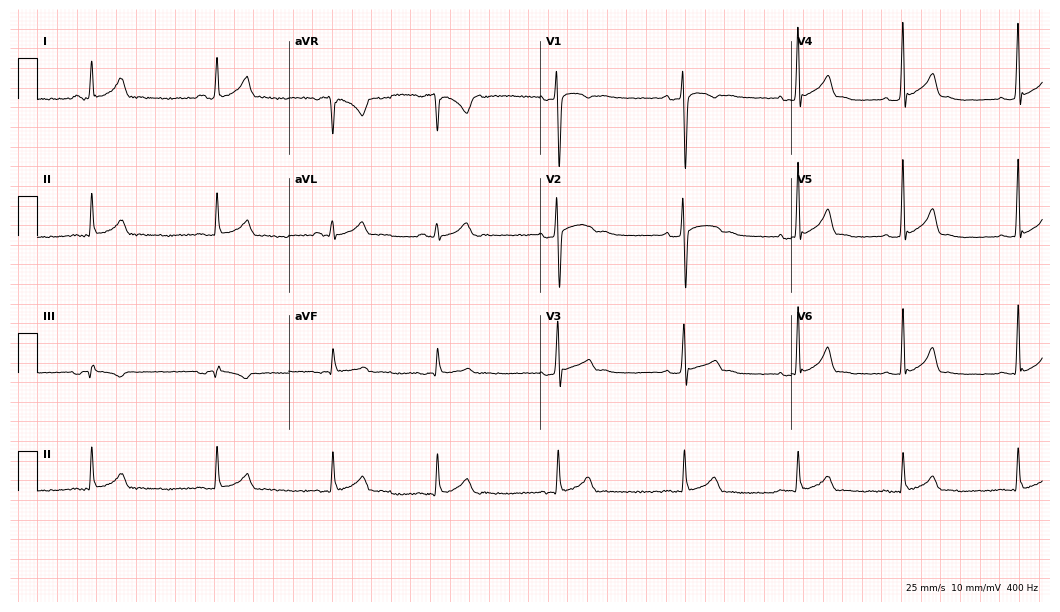
Electrocardiogram (10.2-second recording at 400 Hz), a male, 17 years old. Overall reading on record: normal ECG.